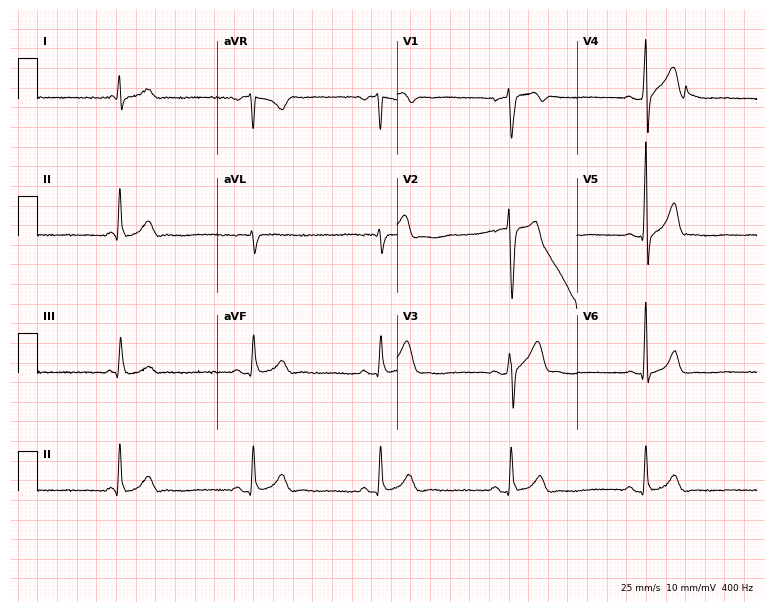
12-lead ECG (7.3-second recording at 400 Hz) from a male patient, 35 years old. Findings include sinus bradycardia (a sinus rate of 50 beats per minute or less).